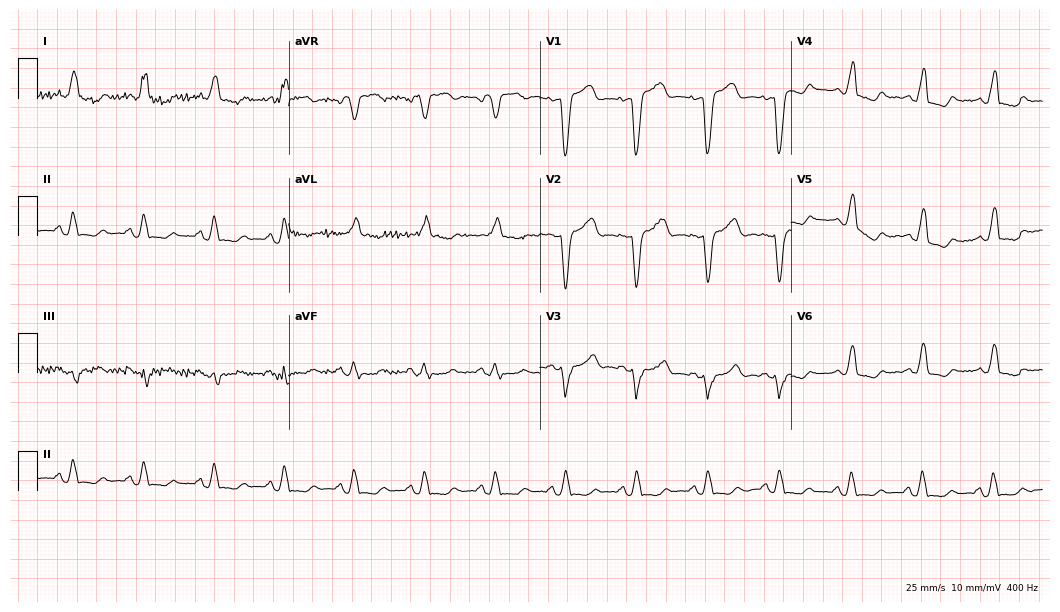
ECG — an 84-year-old female patient. Findings include left bundle branch block.